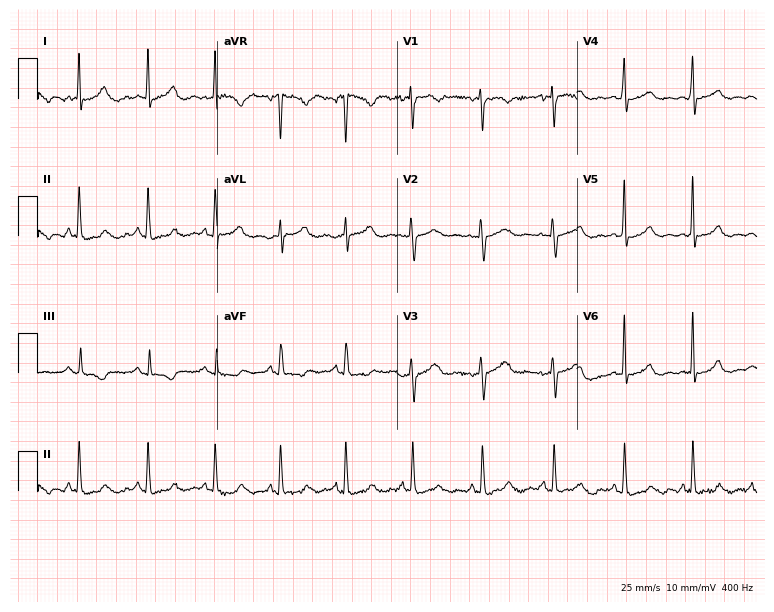
Standard 12-lead ECG recorded from a 32-year-old woman. None of these six findings is recorded: first-degree AV block, right bundle branch block (RBBB), left bundle branch block (LBBB), sinus bradycardia, atrial fibrillation (AF), sinus tachycardia.